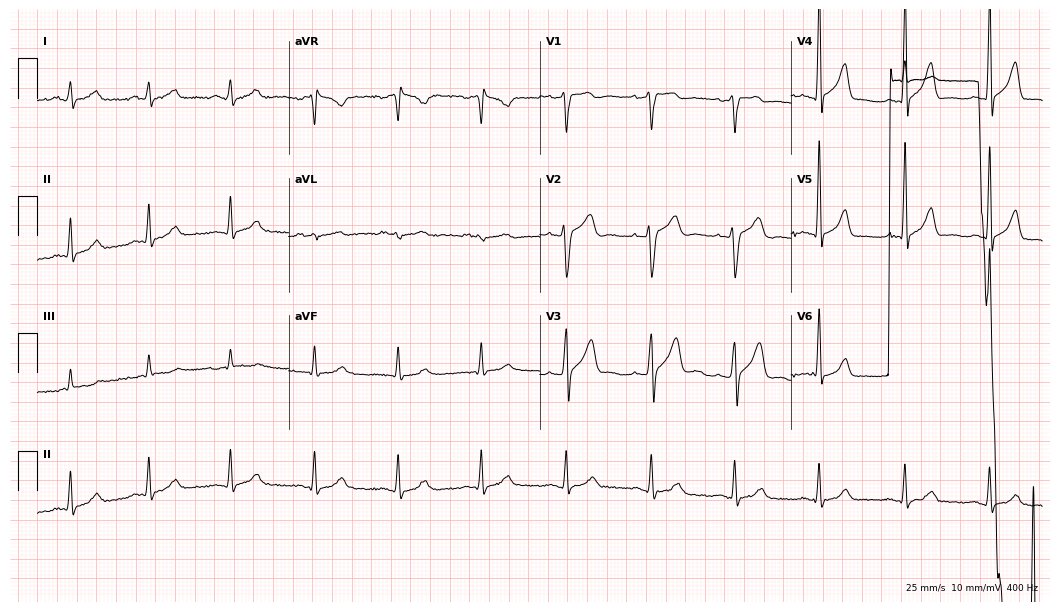
Electrocardiogram (10.2-second recording at 400 Hz), a 44-year-old male. Overall reading on record: normal ECG.